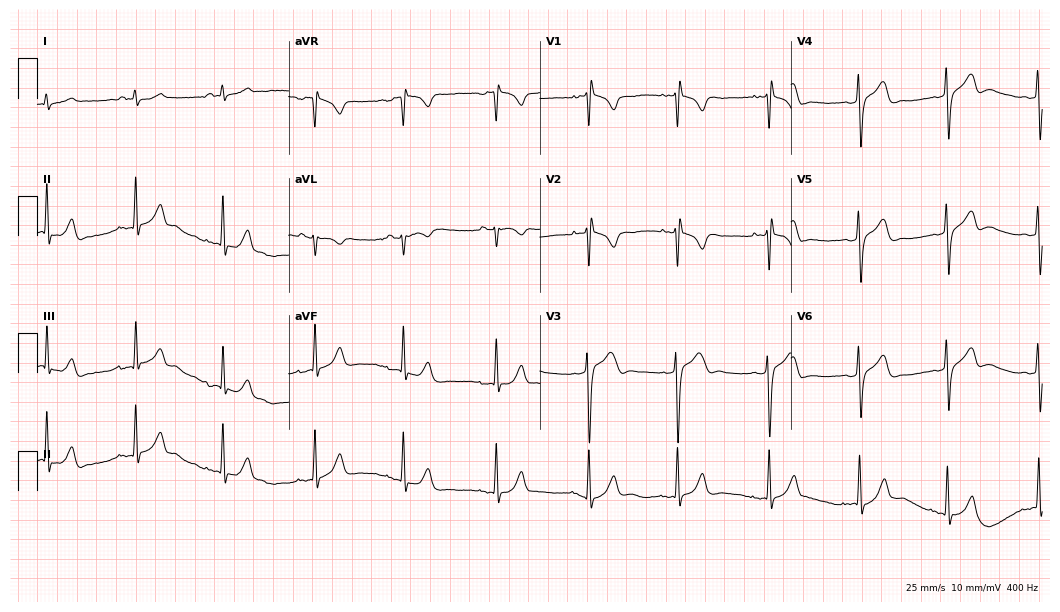
Resting 12-lead electrocardiogram (10.2-second recording at 400 Hz). Patient: a man, 26 years old. None of these six findings is recorded: first-degree AV block, right bundle branch block, left bundle branch block, sinus bradycardia, atrial fibrillation, sinus tachycardia.